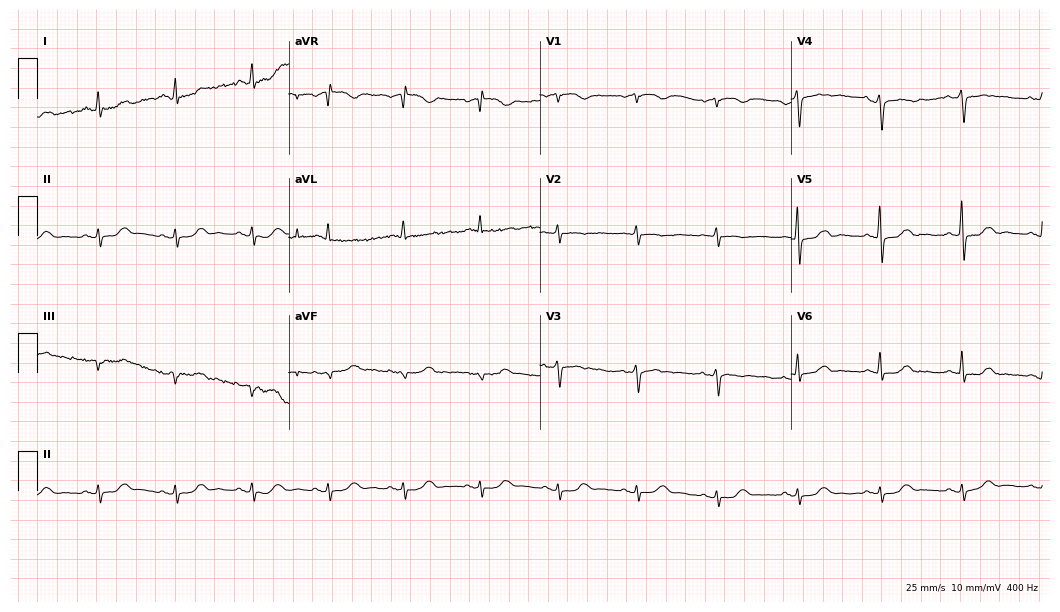
Electrocardiogram, a 73-year-old female. Overall reading on record: normal ECG.